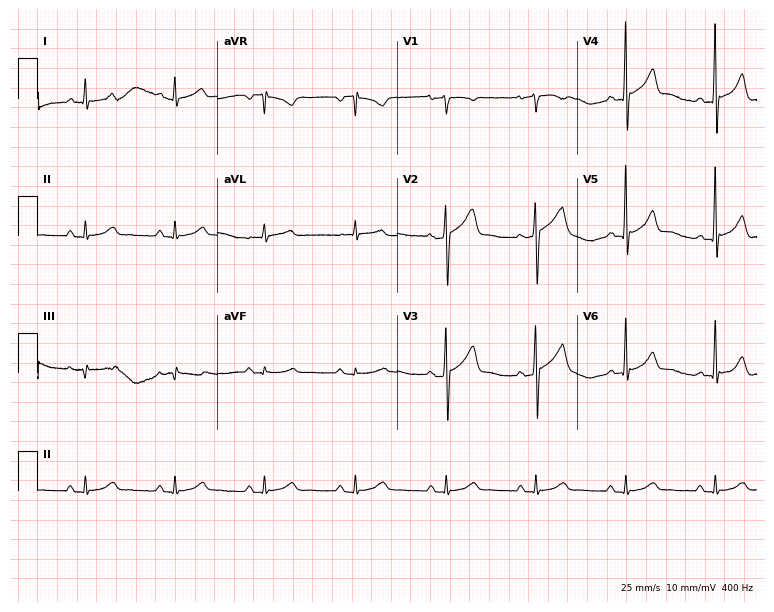
Resting 12-lead electrocardiogram (7.3-second recording at 400 Hz). Patient: a male, 52 years old. Read as a normal ECG.